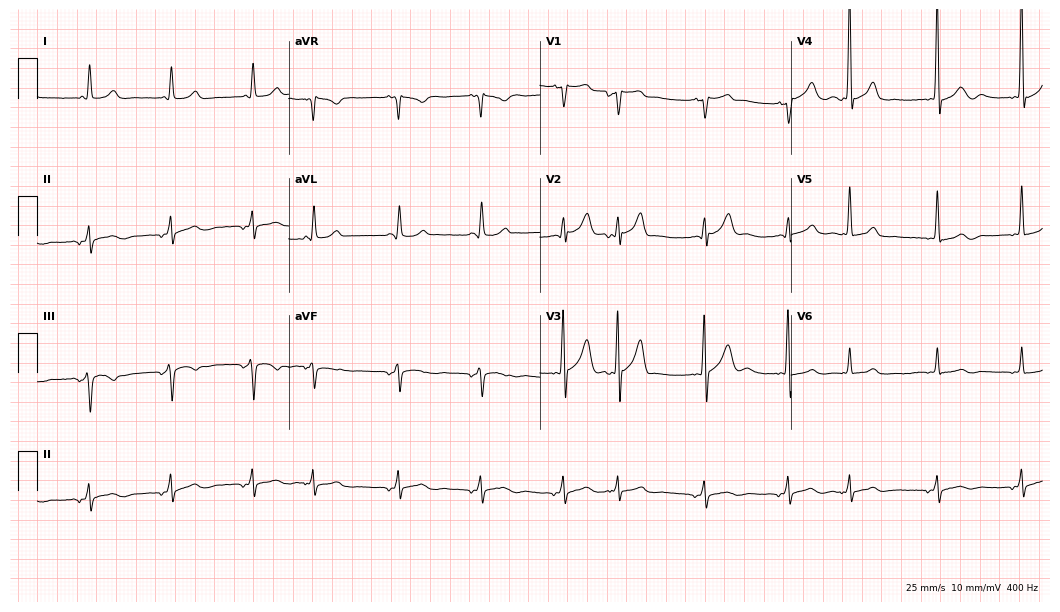
12-lead ECG from a man, 82 years old. Screened for six findings — first-degree AV block, right bundle branch block (RBBB), left bundle branch block (LBBB), sinus bradycardia, atrial fibrillation (AF), sinus tachycardia — none is recorded. Only these six findings were labelled.